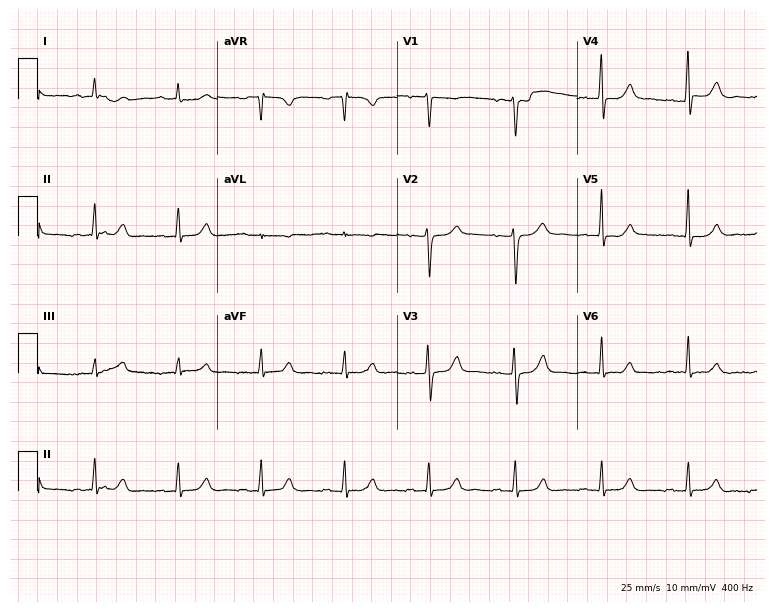
12-lead ECG from a female, 49 years old. Labelled as a normal ECG.